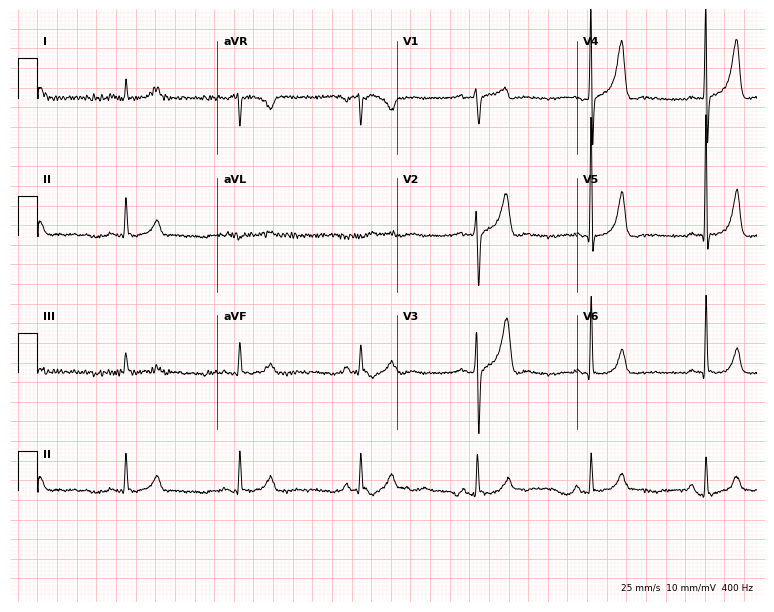
ECG (7.3-second recording at 400 Hz) — a male, 72 years old. Screened for six findings — first-degree AV block, right bundle branch block (RBBB), left bundle branch block (LBBB), sinus bradycardia, atrial fibrillation (AF), sinus tachycardia — none is recorded.